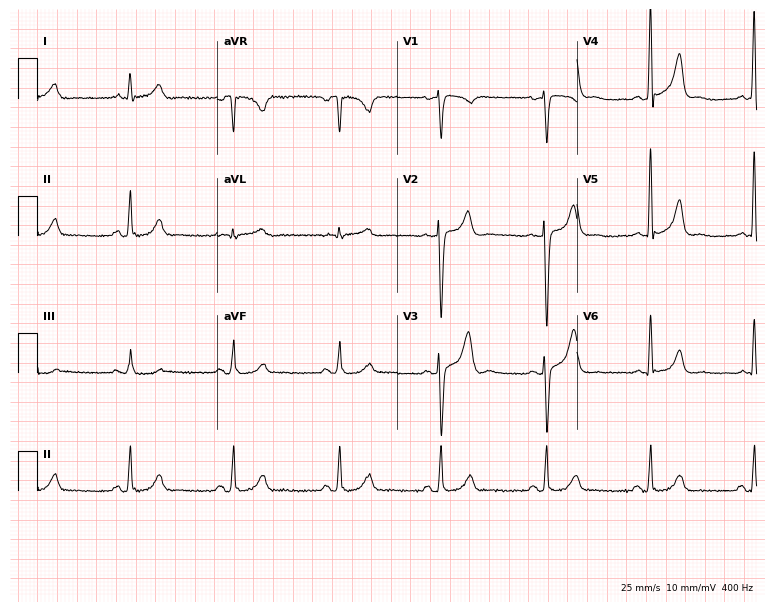
ECG — a male patient, 42 years old. Labelled as a normal ECG.